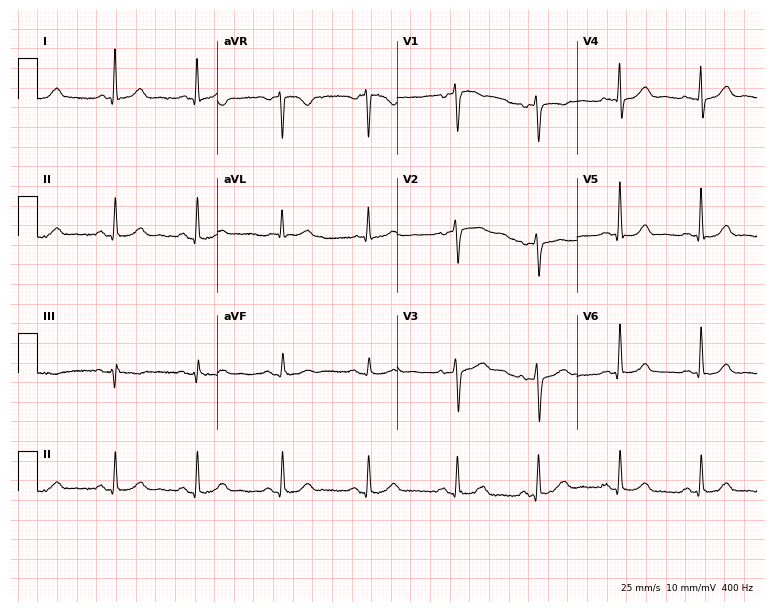
Standard 12-lead ECG recorded from a 60-year-old female patient. Read as a normal ECG.